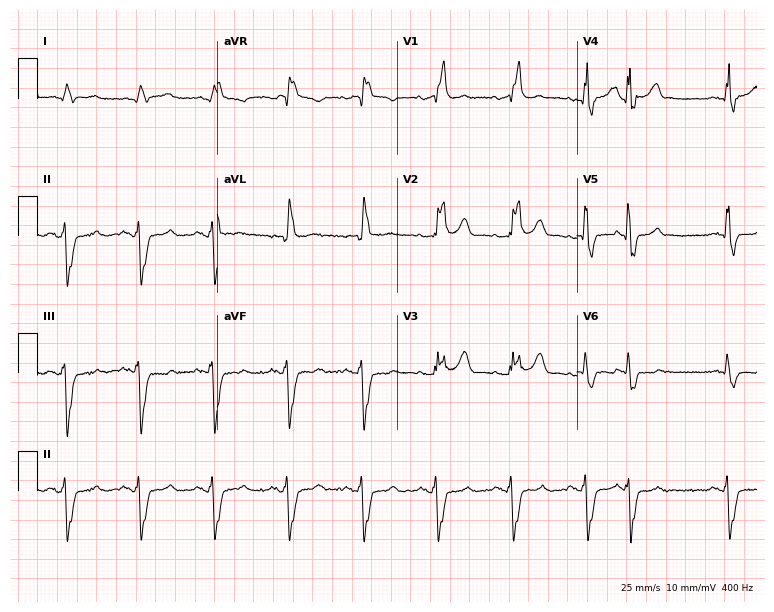
Standard 12-lead ECG recorded from a man, 57 years old. The tracing shows right bundle branch block.